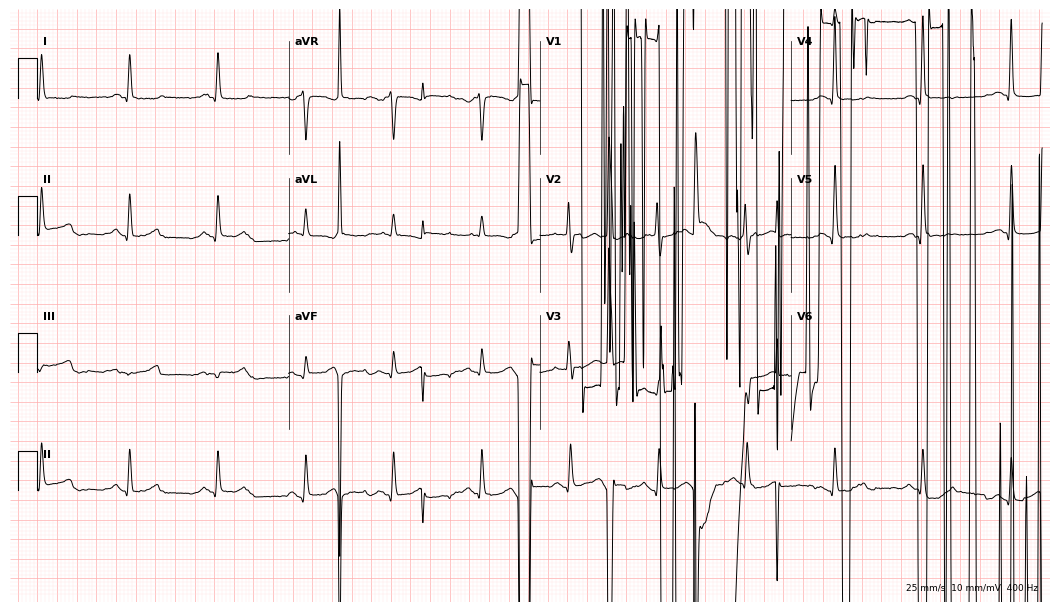
12-lead ECG from a 59-year-old female patient. No first-degree AV block, right bundle branch block (RBBB), left bundle branch block (LBBB), sinus bradycardia, atrial fibrillation (AF) or sinus tachycardia recorded for this tracing. Other findings, if any, are not listed.